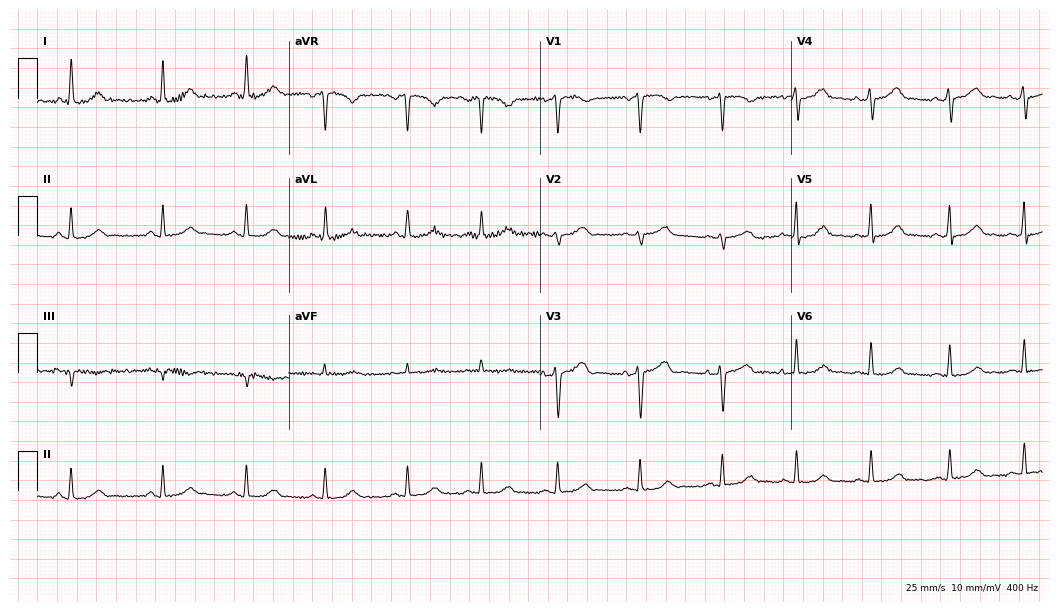
ECG — a 37-year-old female. Screened for six findings — first-degree AV block, right bundle branch block, left bundle branch block, sinus bradycardia, atrial fibrillation, sinus tachycardia — none is recorded. Other findings, if any, are not listed.